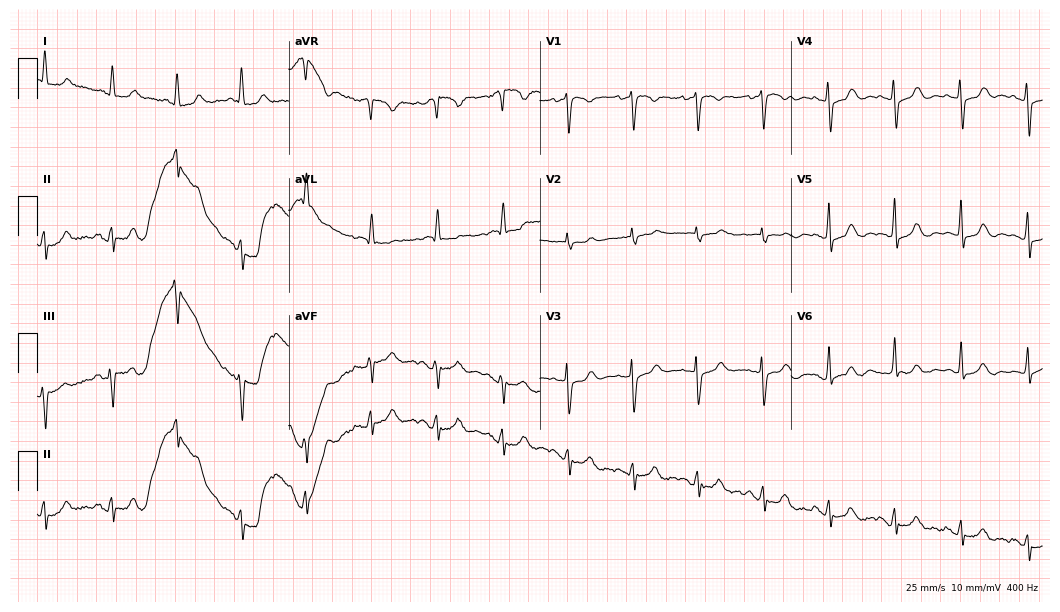
Resting 12-lead electrocardiogram. Patient: an 85-year-old female. None of these six findings is recorded: first-degree AV block, right bundle branch block, left bundle branch block, sinus bradycardia, atrial fibrillation, sinus tachycardia.